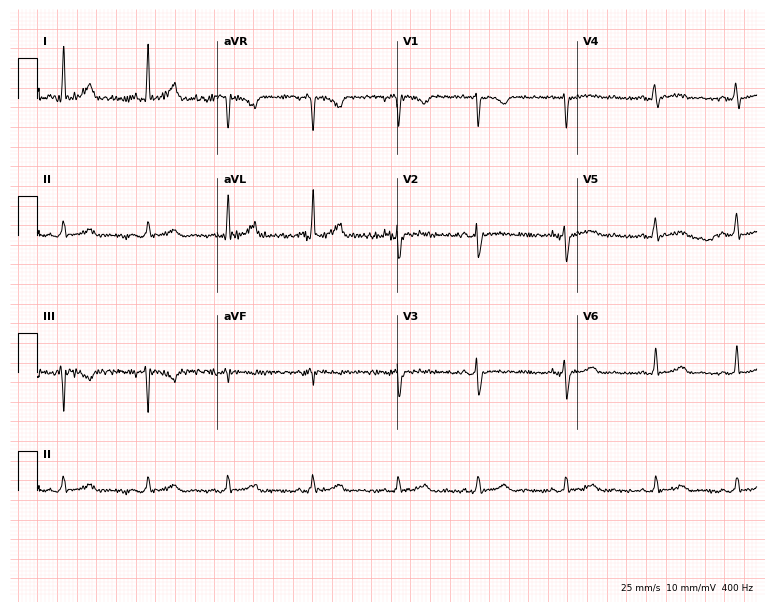
Resting 12-lead electrocardiogram. Patient: a female, 24 years old. None of these six findings is recorded: first-degree AV block, right bundle branch block, left bundle branch block, sinus bradycardia, atrial fibrillation, sinus tachycardia.